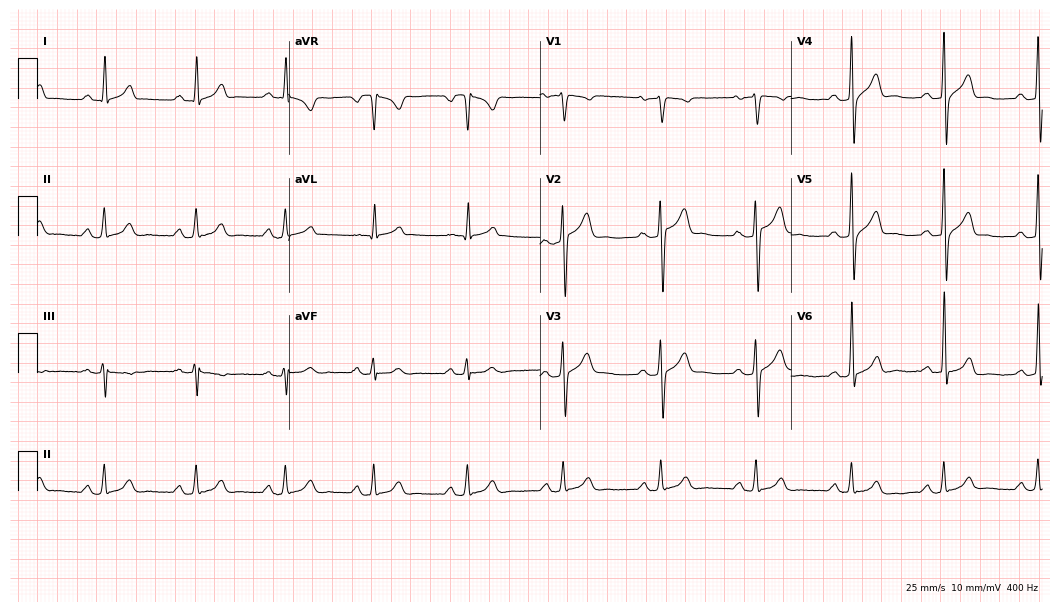
Resting 12-lead electrocardiogram (10.2-second recording at 400 Hz). Patient: a 42-year-old male. Read as a normal ECG.